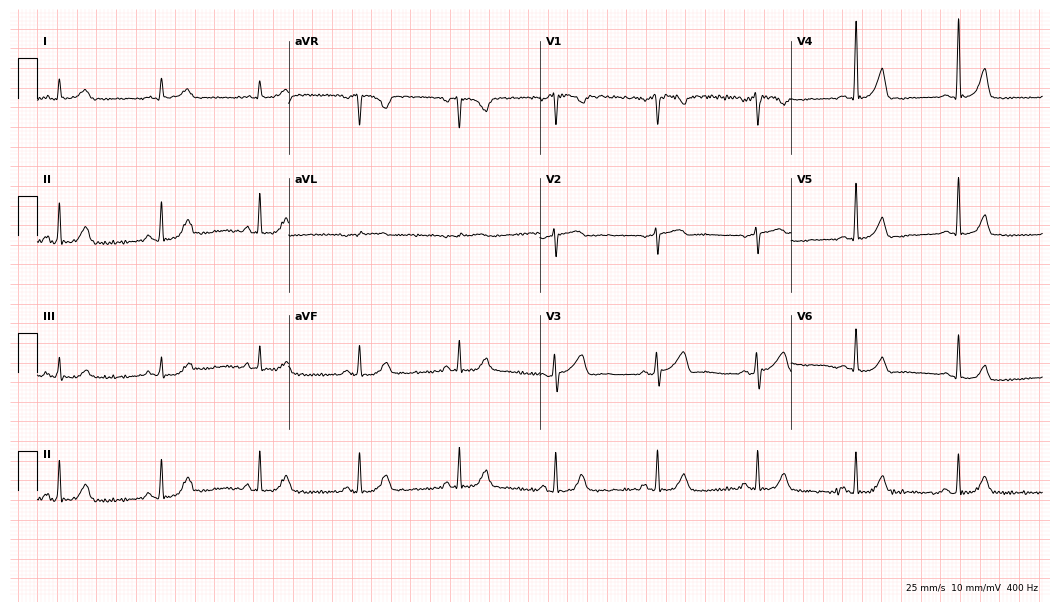
Electrocardiogram, a 68-year-old male. Overall reading on record: normal ECG.